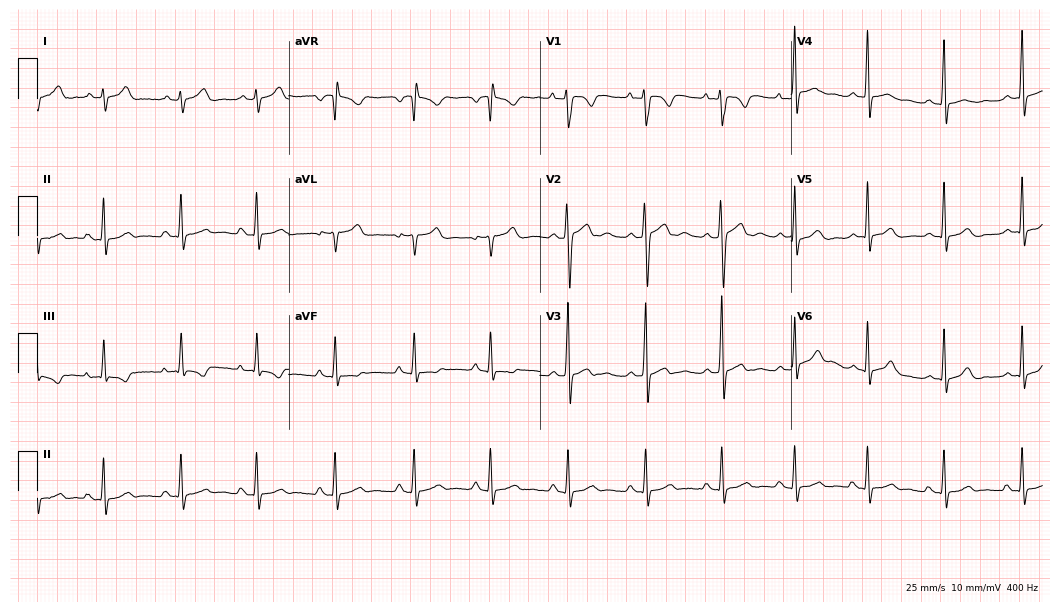
Resting 12-lead electrocardiogram (10.2-second recording at 400 Hz). Patient: a male, 17 years old. None of these six findings is recorded: first-degree AV block, right bundle branch block (RBBB), left bundle branch block (LBBB), sinus bradycardia, atrial fibrillation (AF), sinus tachycardia.